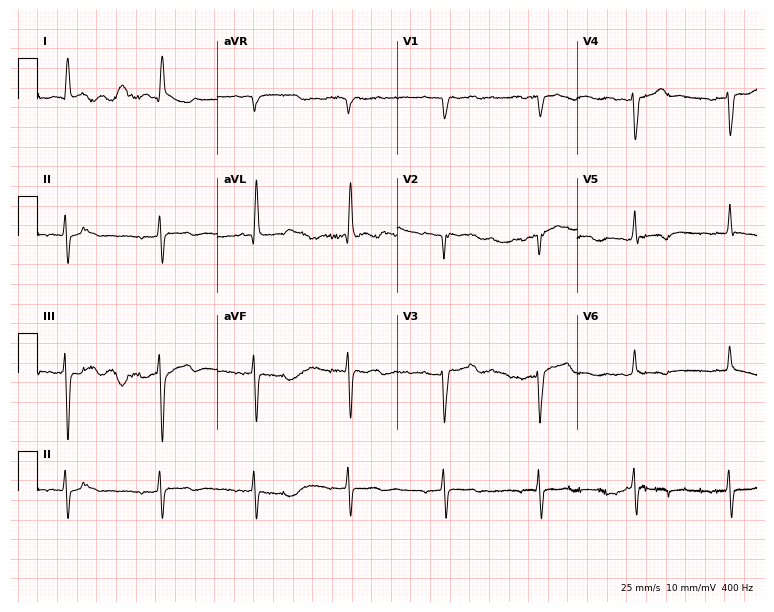
Standard 12-lead ECG recorded from a 77-year-old female patient (7.3-second recording at 400 Hz). Read as a normal ECG.